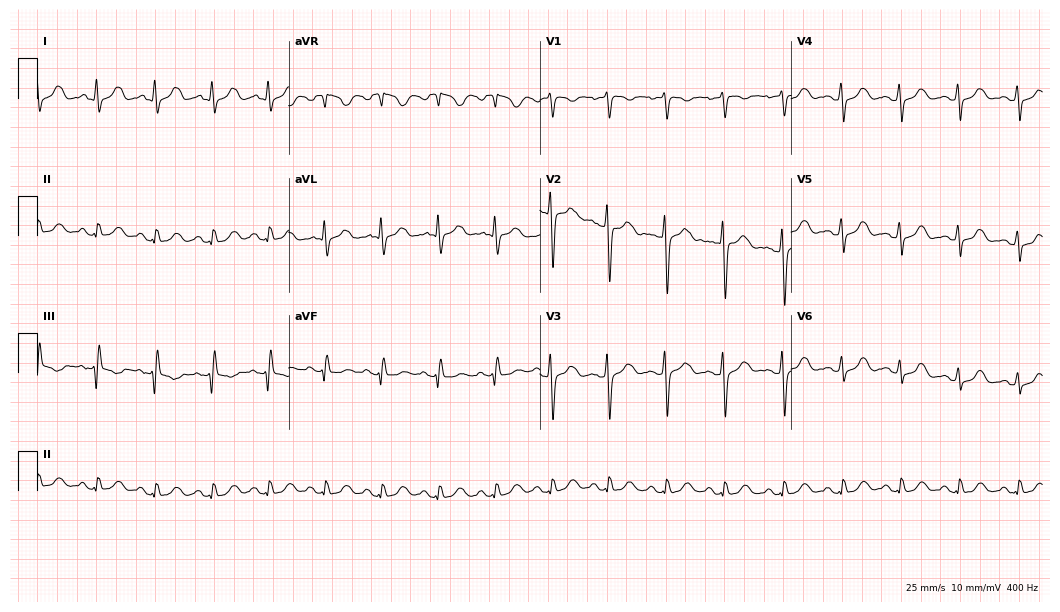
ECG (10.2-second recording at 400 Hz) — a woman, 50 years old. Findings include sinus tachycardia (a sinus rate of 100 beats per minute or more).